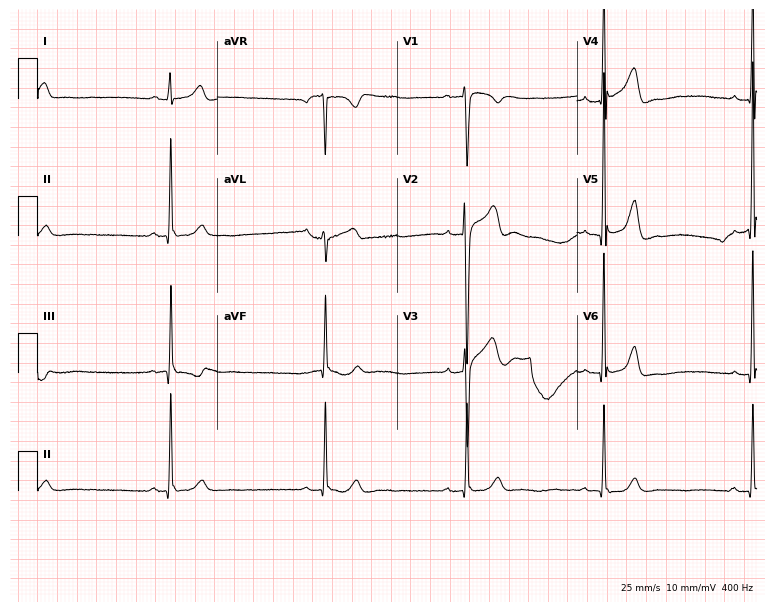
Electrocardiogram (7.3-second recording at 400 Hz), a male patient, 25 years old. Interpretation includes sinus bradycardia (a sinus rate of 50 beats per minute or less).